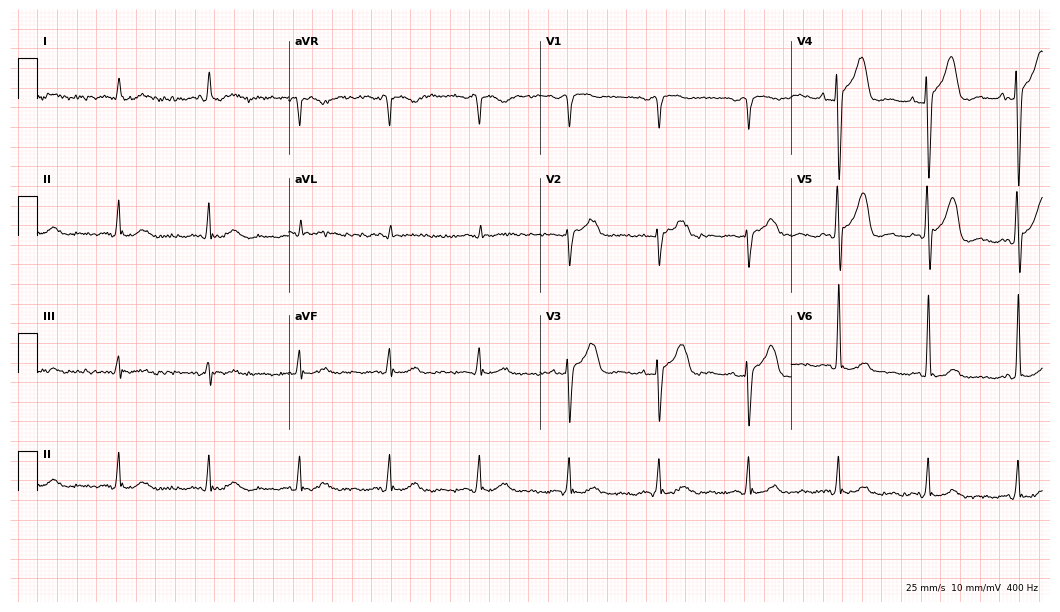
Standard 12-lead ECG recorded from a man, 83 years old. Read as a normal ECG.